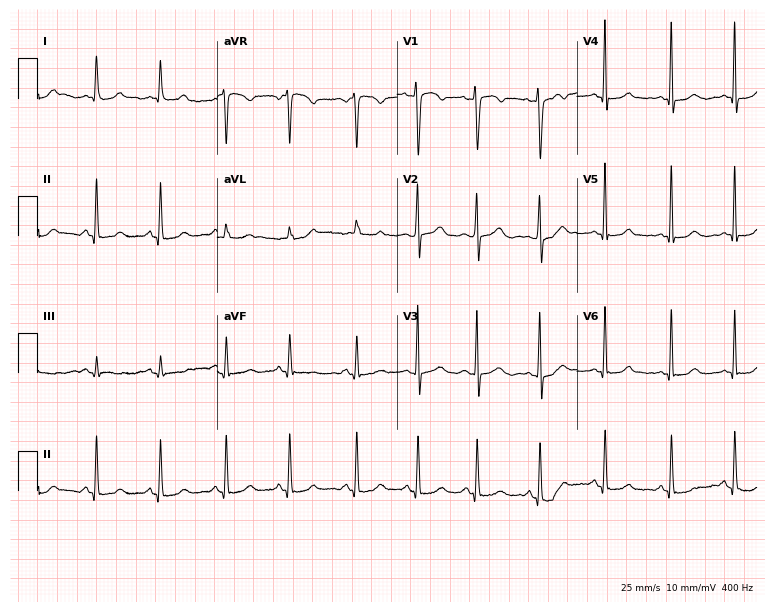
Standard 12-lead ECG recorded from a 34-year-old female patient. Read as a normal ECG.